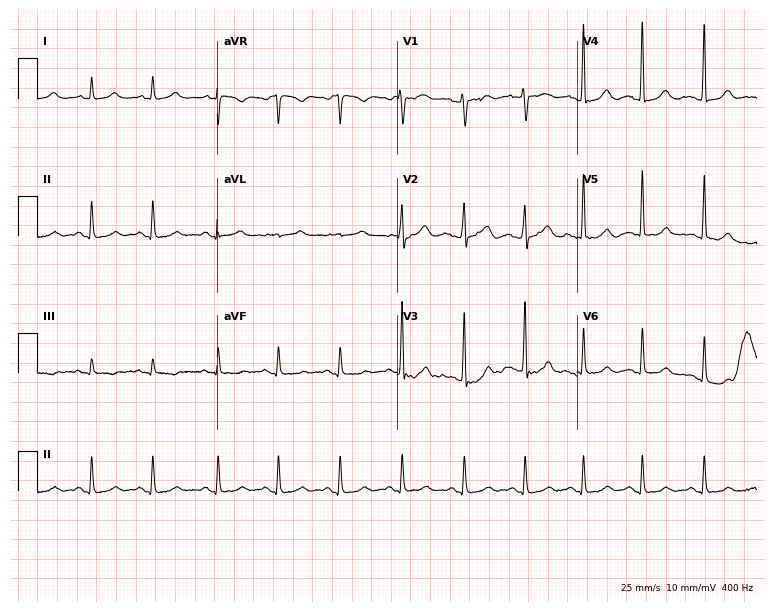
12-lead ECG from a female, 50 years old (7.3-second recording at 400 Hz). Recorded interpretation: within normal limits.